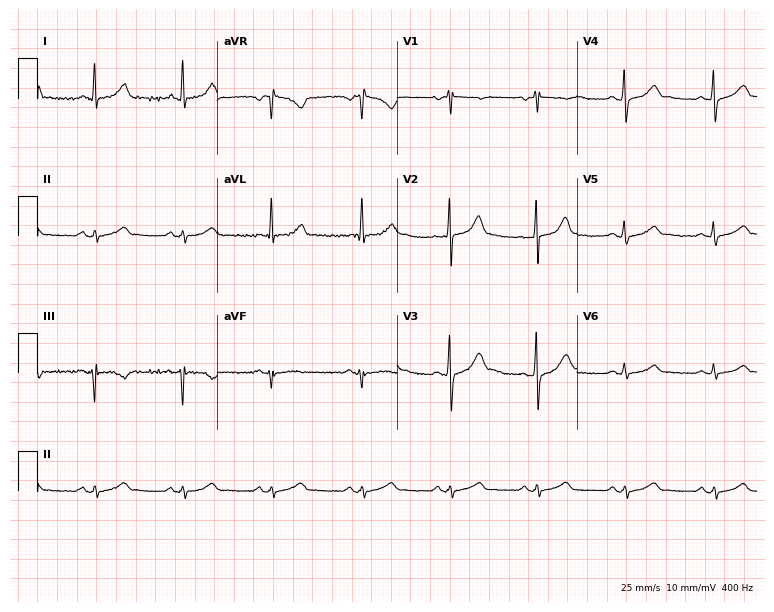
12-lead ECG (7.3-second recording at 400 Hz) from a male patient, 48 years old. Labelled as a normal ECG.